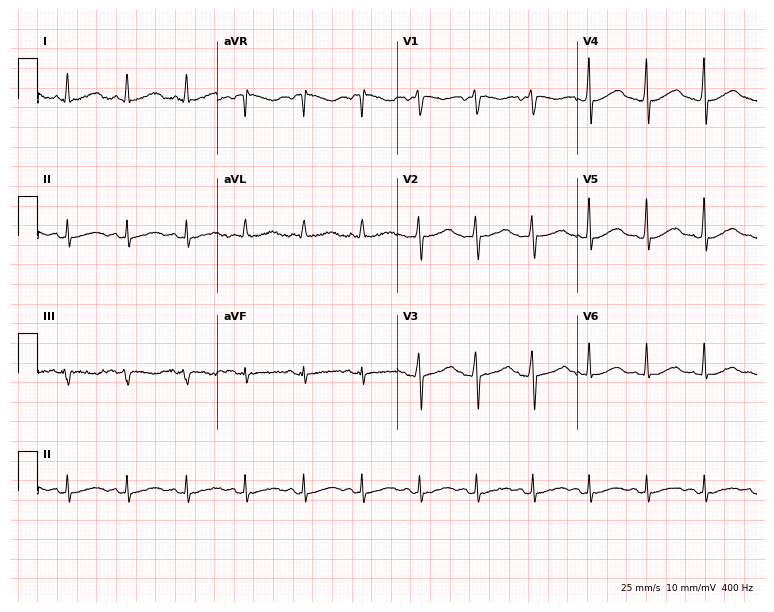
Electrocardiogram, a 42-year-old male patient. Interpretation includes sinus tachycardia (a sinus rate of 100 beats per minute or more).